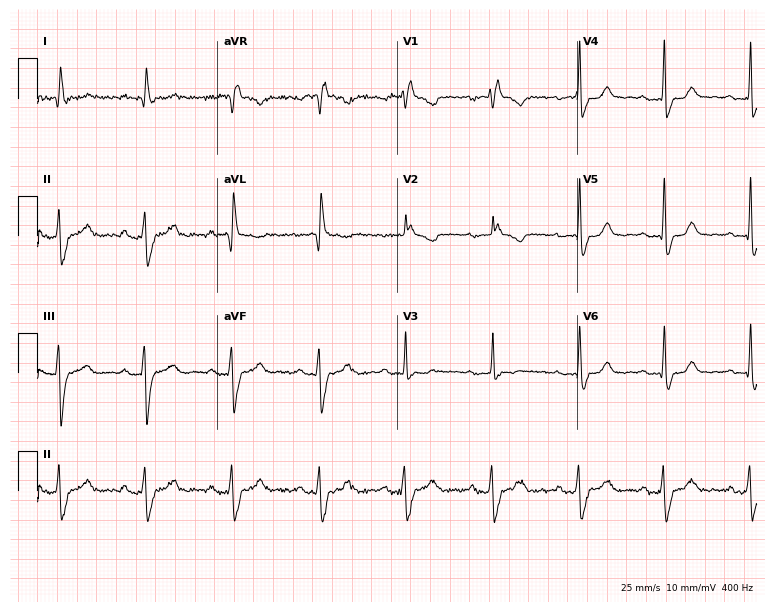
12-lead ECG from a 52-year-old female (7.3-second recording at 400 Hz). Shows first-degree AV block, right bundle branch block.